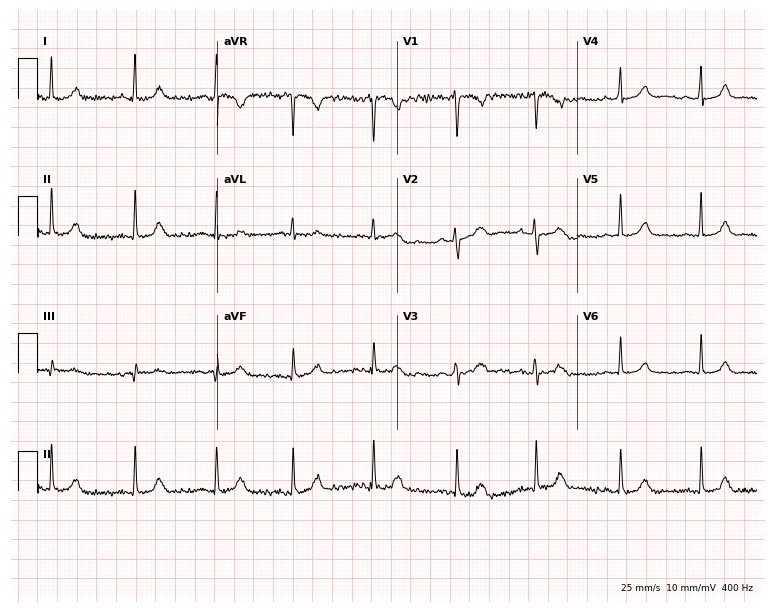
Standard 12-lead ECG recorded from a 25-year-old female patient. Read as a normal ECG.